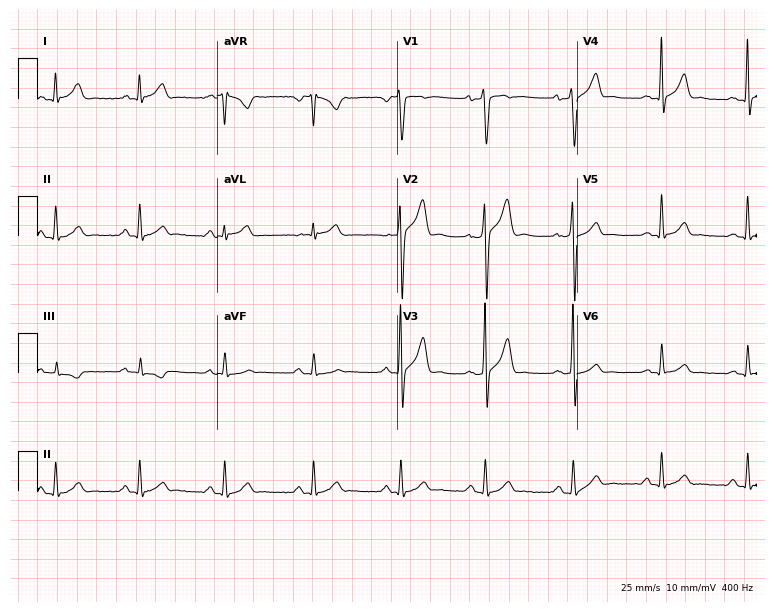
ECG — a 30-year-old man. Screened for six findings — first-degree AV block, right bundle branch block (RBBB), left bundle branch block (LBBB), sinus bradycardia, atrial fibrillation (AF), sinus tachycardia — none is recorded. Other findings, if any, are not listed.